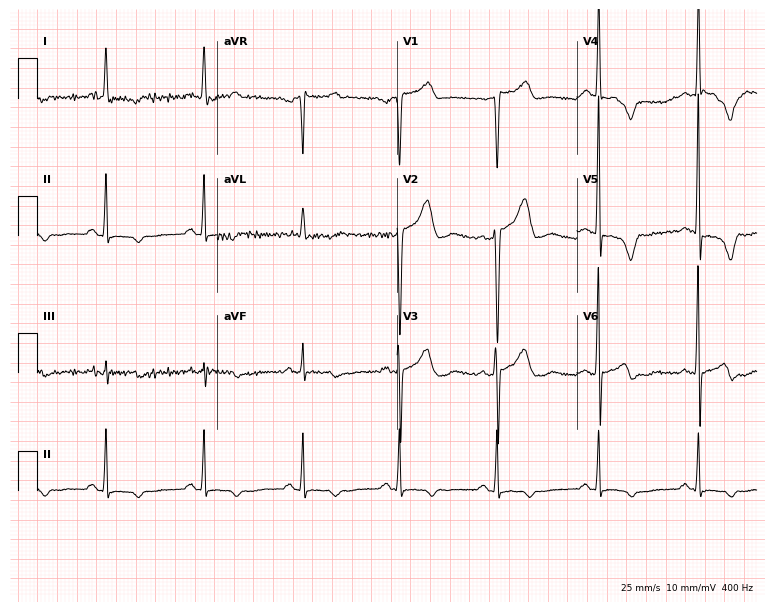
Electrocardiogram, a female, 53 years old. Of the six screened findings (first-degree AV block, right bundle branch block, left bundle branch block, sinus bradycardia, atrial fibrillation, sinus tachycardia), none is recorded. Other findings, if any, are not listed.